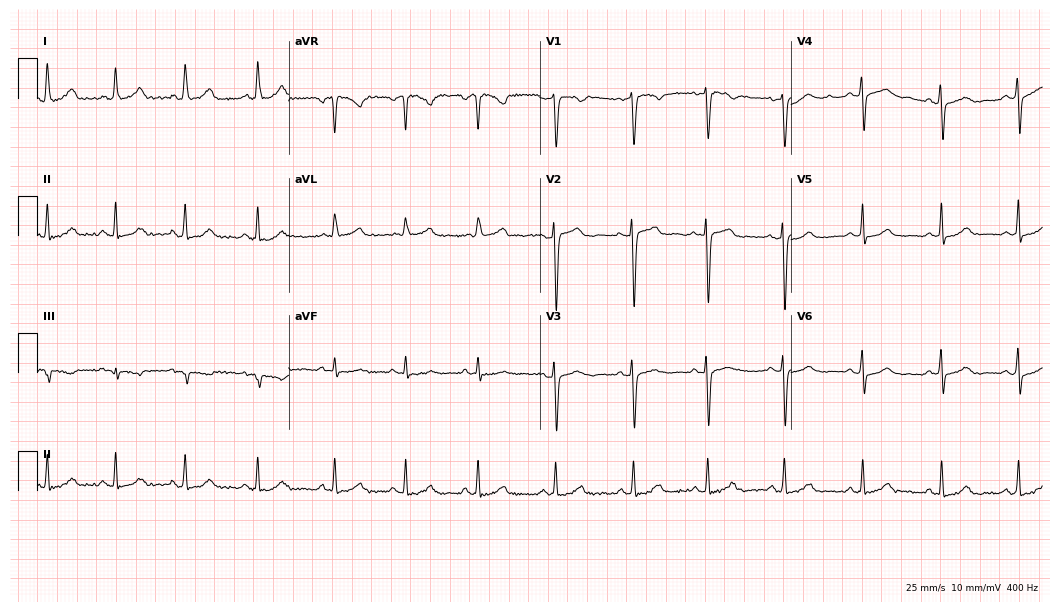
12-lead ECG from a 31-year-old woman (10.2-second recording at 400 Hz). Recorded interpretation: within normal limits.